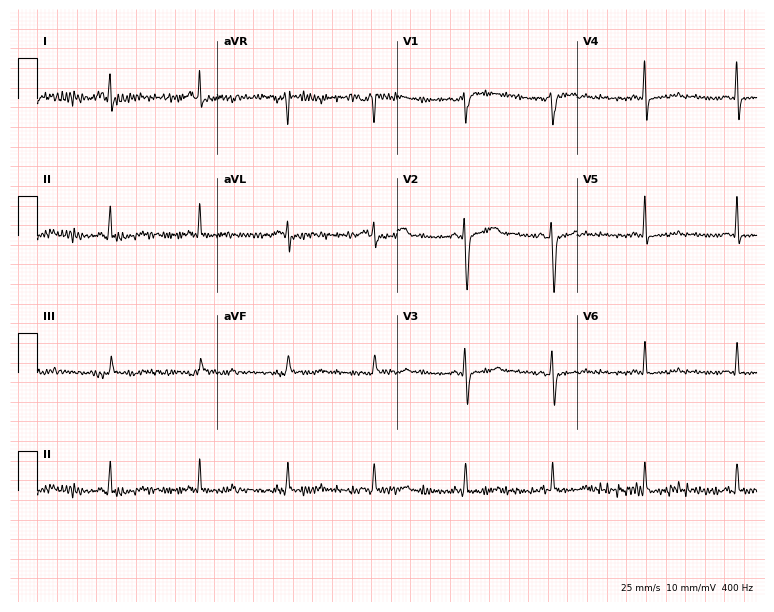
Resting 12-lead electrocardiogram. Patient: a 51-year-old female. None of these six findings is recorded: first-degree AV block, right bundle branch block, left bundle branch block, sinus bradycardia, atrial fibrillation, sinus tachycardia. Only these six findings were labelled.